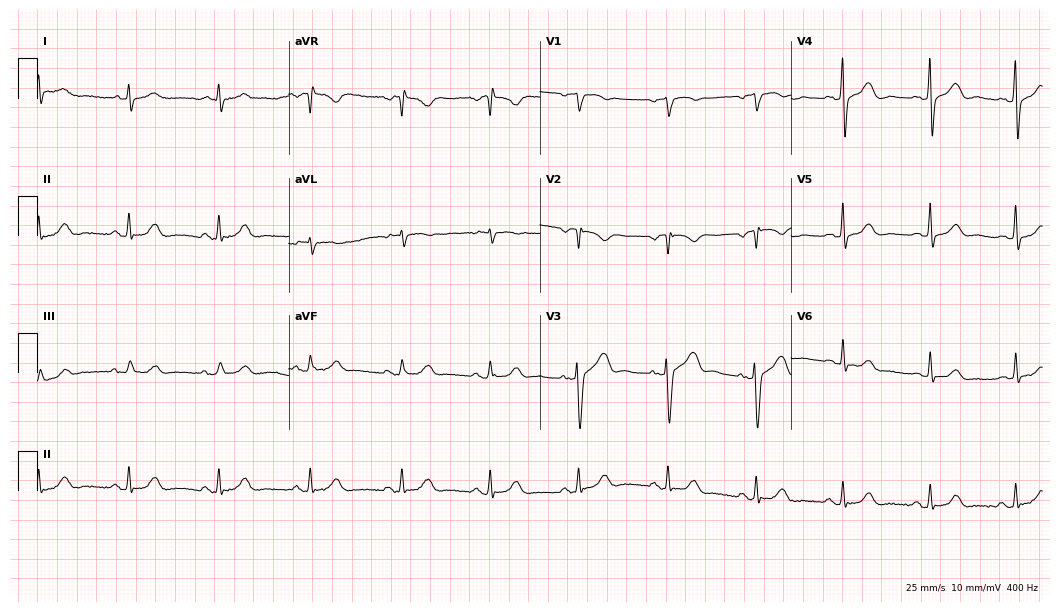
Standard 12-lead ECG recorded from a 62-year-old male. None of these six findings is recorded: first-degree AV block, right bundle branch block, left bundle branch block, sinus bradycardia, atrial fibrillation, sinus tachycardia. Other findings, if any, are not listed.